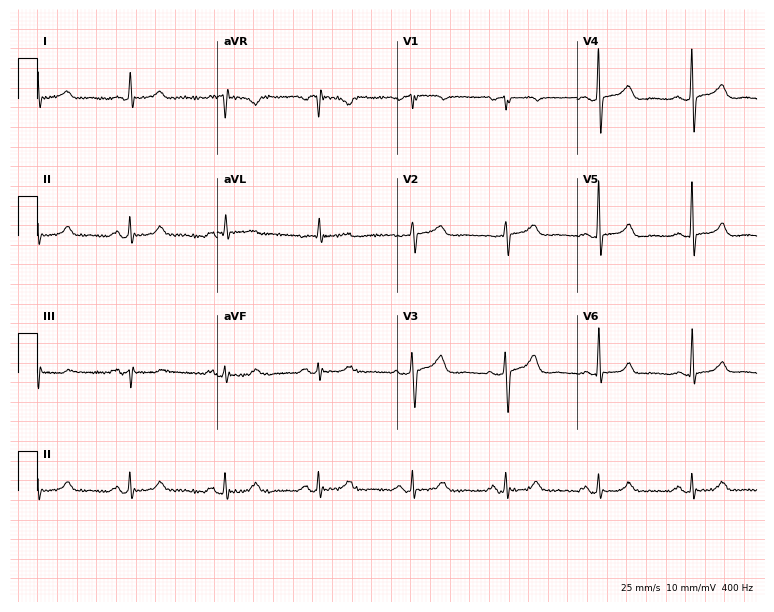
12-lead ECG (7.3-second recording at 400 Hz) from a female, 82 years old. Labelled as a normal ECG.